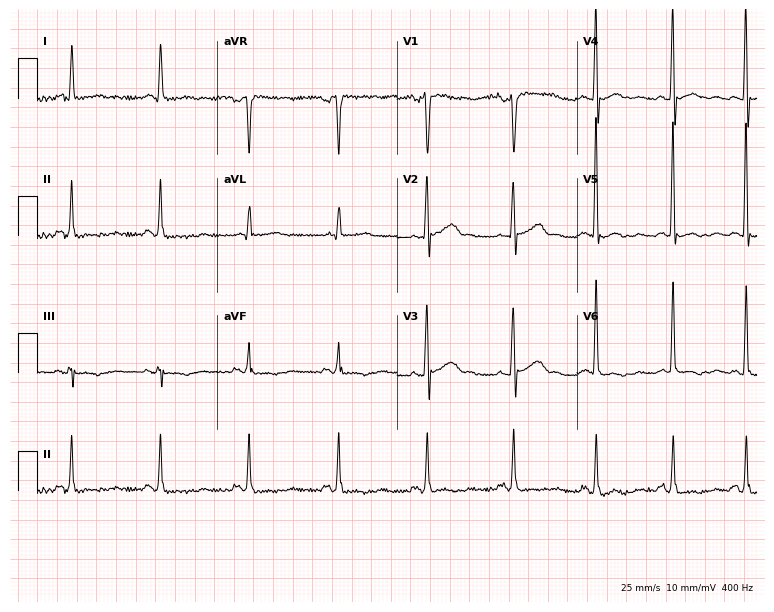
Resting 12-lead electrocardiogram. Patient: a 58-year-old man. None of these six findings is recorded: first-degree AV block, right bundle branch block, left bundle branch block, sinus bradycardia, atrial fibrillation, sinus tachycardia.